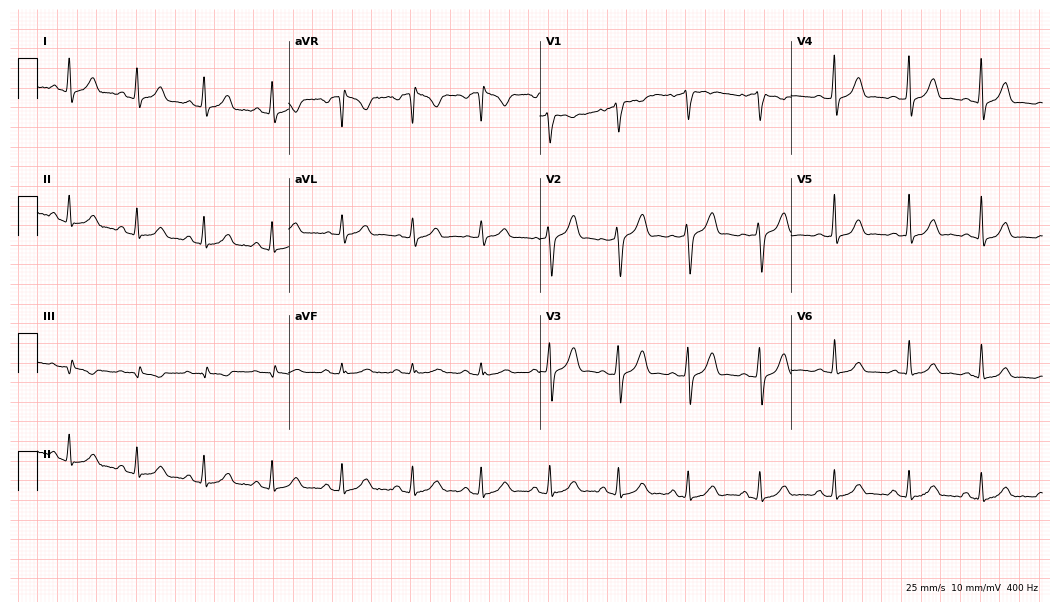
Electrocardiogram (10.2-second recording at 400 Hz), a female, 37 years old. Overall reading on record: normal ECG.